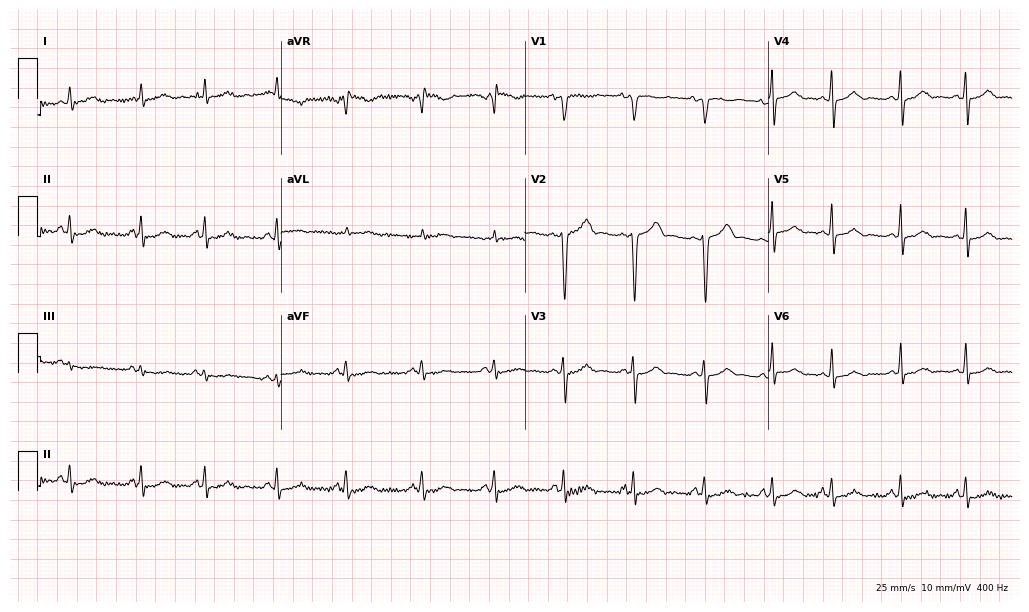
Standard 12-lead ECG recorded from a woman, 22 years old. None of these six findings is recorded: first-degree AV block, right bundle branch block, left bundle branch block, sinus bradycardia, atrial fibrillation, sinus tachycardia.